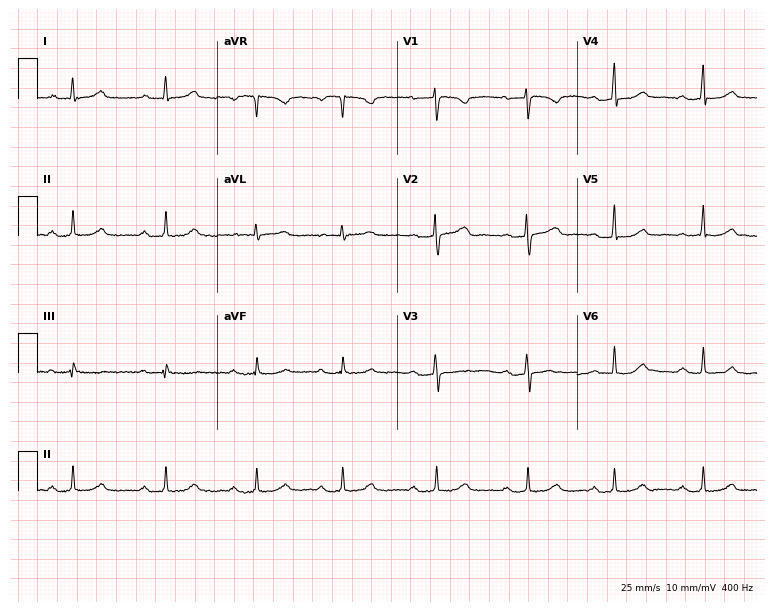
12-lead ECG from a woman, 47 years old. Screened for six findings — first-degree AV block, right bundle branch block (RBBB), left bundle branch block (LBBB), sinus bradycardia, atrial fibrillation (AF), sinus tachycardia — none is recorded. Other findings, if any, are not listed.